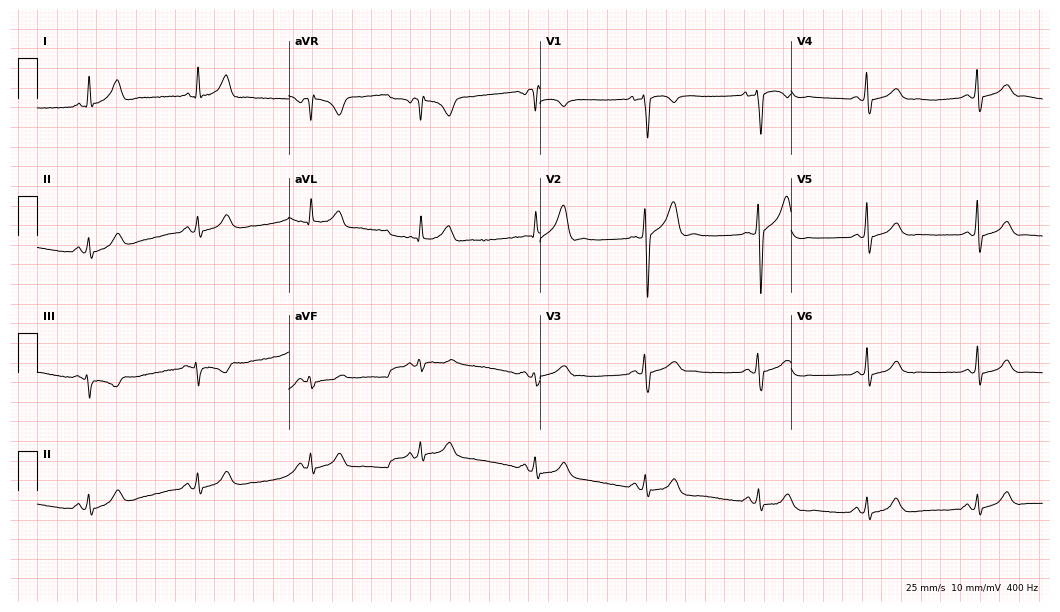
Standard 12-lead ECG recorded from a 24-year-old male (10.2-second recording at 400 Hz). Read as a normal ECG.